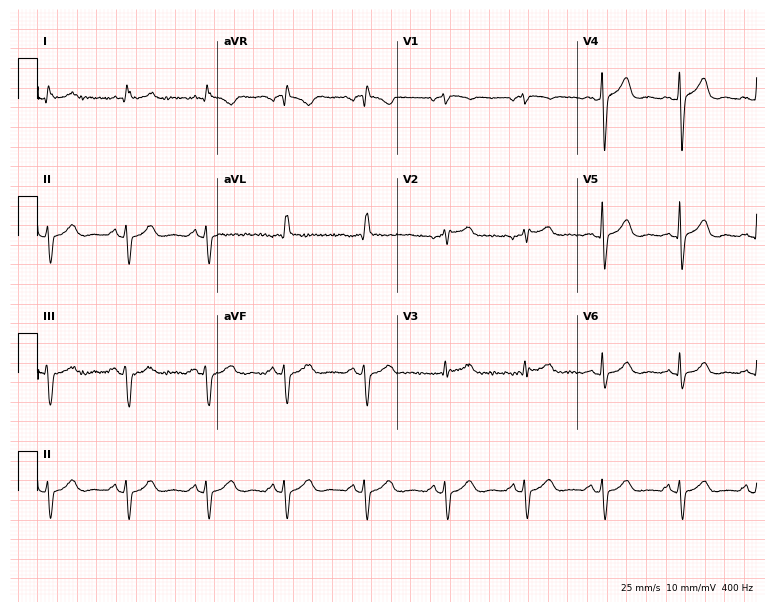
Resting 12-lead electrocardiogram (7.3-second recording at 400 Hz). Patient: a man, 63 years old. None of these six findings is recorded: first-degree AV block, right bundle branch block, left bundle branch block, sinus bradycardia, atrial fibrillation, sinus tachycardia.